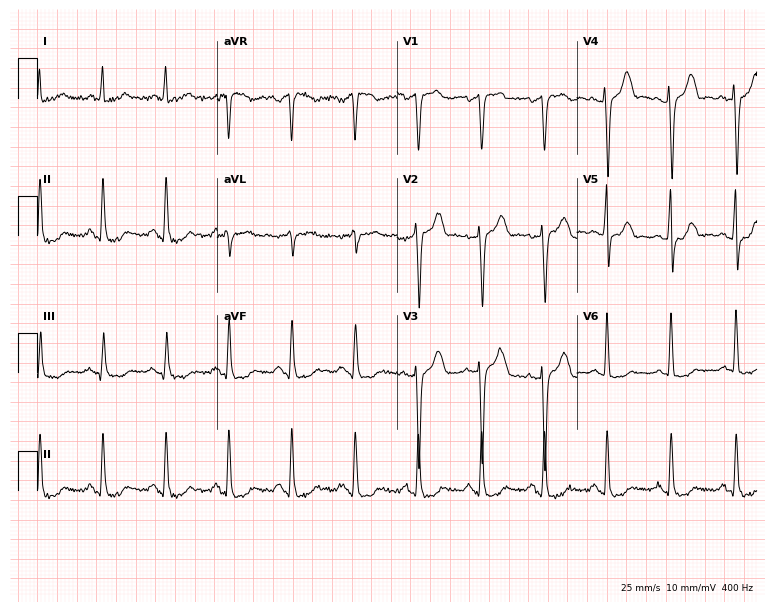
12-lead ECG from a man, 55 years old. No first-degree AV block, right bundle branch block, left bundle branch block, sinus bradycardia, atrial fibrillation or sinus tachycardia recorded for this tracing. Other findings, if any, are not listed.